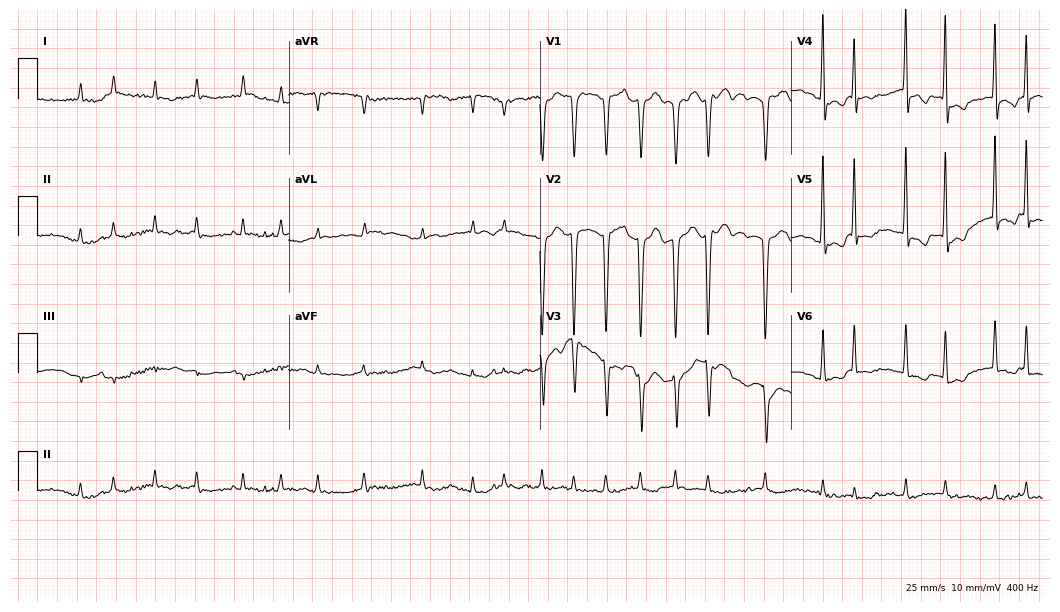
Electrocardiogram, a woman, 82 years old. Interpretation includes atrial fibrillation (AF).